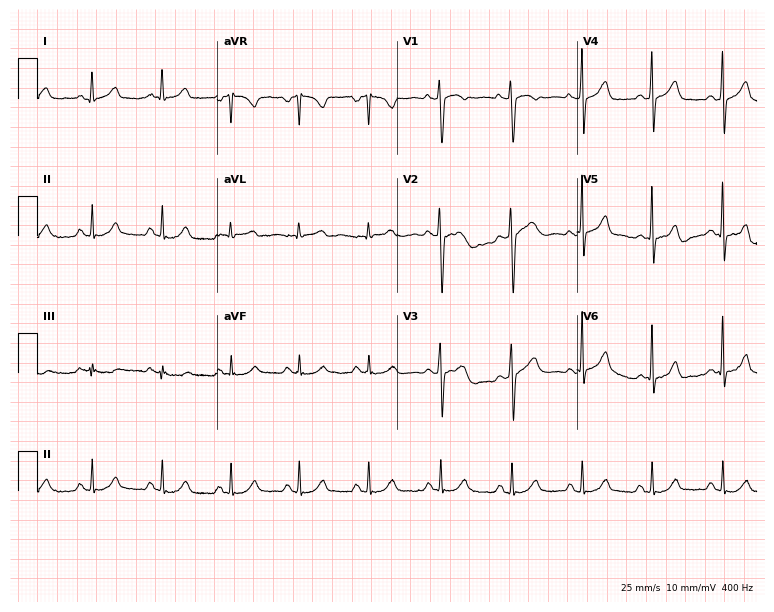
ECG — a female, 51 years old. Labelled as a normal ECG.